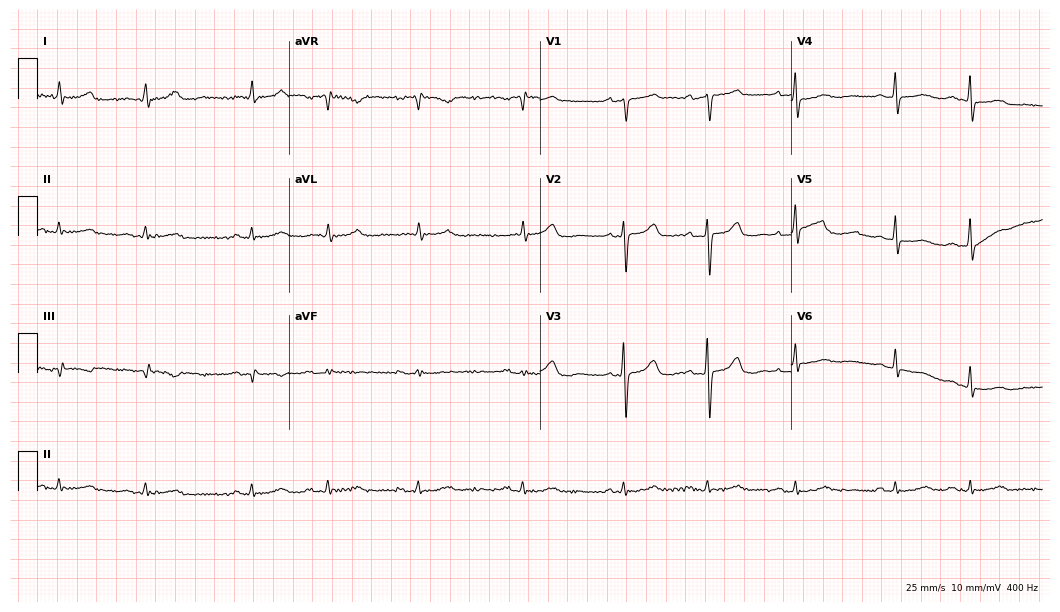
12-lead ECG from an 85-year-old female patient (10.2-second recording at 400 Hz). No first-degree AV block, right bundle branch block, left bundle branch block, sinus bradycardia, atrial fibrillation or sinus tachycardia recorded for this tracing.